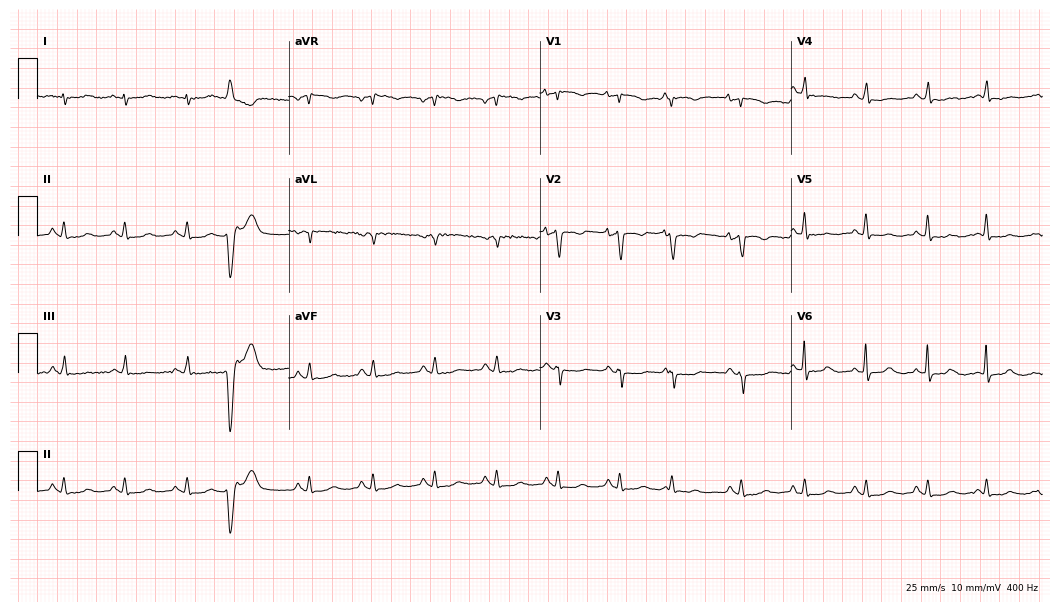
Resting 12-lead electrocardiogram (10.2-second recording at 400 Hz). Patient: a 79-year-old woman. None of these six findings is recorded: first-degree AV block, right bundle branch block, left bundle branch block, sinus bradycardia, atrial fibrillation, sinus tachycardia.